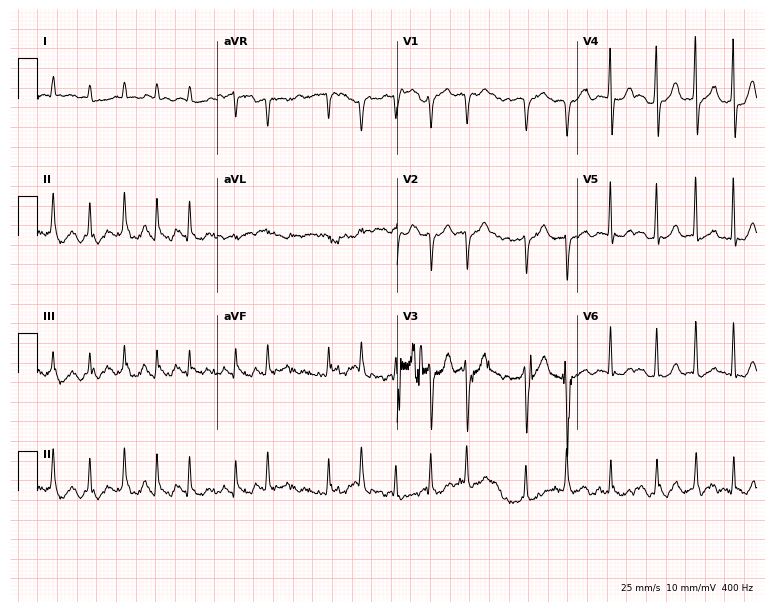
ECG (7.3-second recording at 400 Hz) — an 83-year-old female patient. Findings include atrial fibrillation.